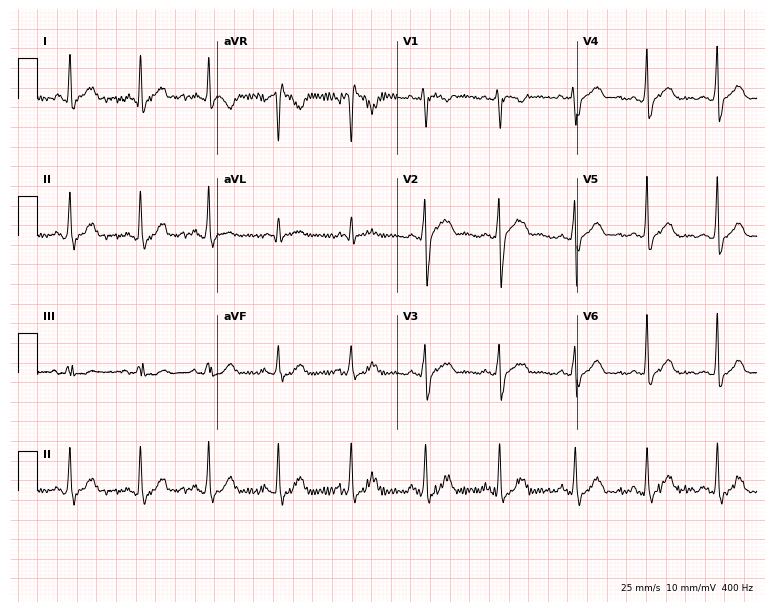
12-lead ECG from a 43-year-old woman. Screened for six findings — first-degree AV block, right bundle branch block, left bundle branch block, sinus bradycardia, atrial fibrillation, sinus tachycardia — none is recorded.